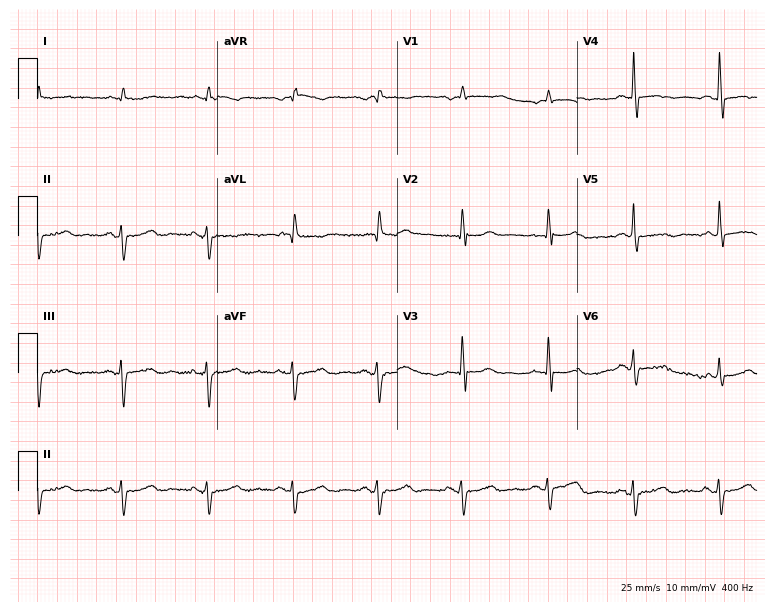
12-lead ECG from a male, 83 years old (7.3-second recording at 400 Hz). No first-degree AV block, right bundle branch block (RBBB), left bundle branch block (LBBB), sinus bradycardia, atrial fibrillation (AF) or sinus tachycardia recorded for this tracing.